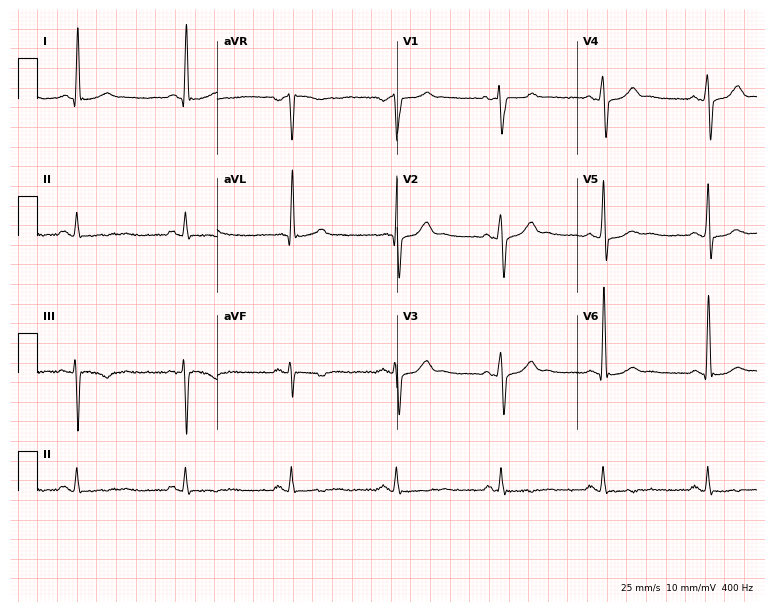
ECG (7.3-second recording at 400 Hz) — a male patient, 51 years old. Screened for six findings — first-degree AV block, right bundle branch block (RBBB), left bundle branch block (LBBB), sinus bradycardia, atrial fibrillation (AF), sinus tachycardia — none is recorded.